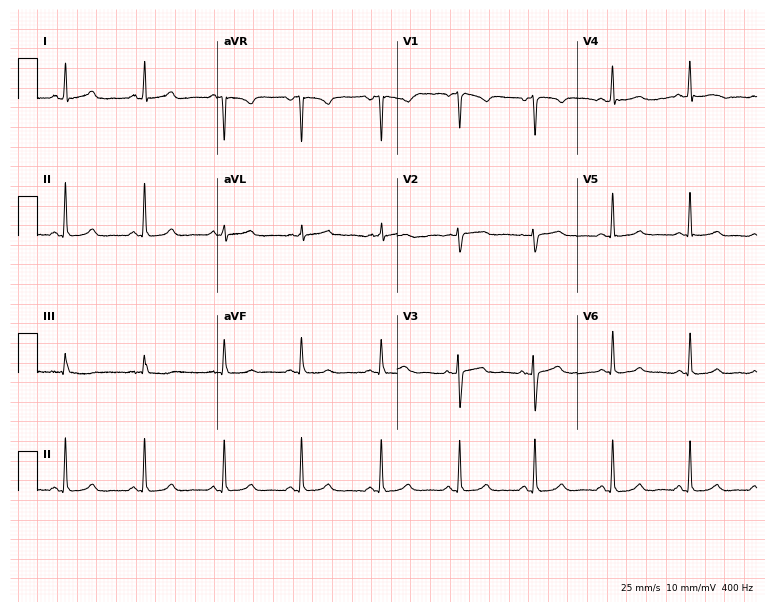
ECG — a female patient, 44 years old. Screened for six findings — first-degree AV block, right bundle branch block (RBBB), left bundle branch block (LBBB), sinus bradycardia, atrial fibrillation (AF), sinus tachycardia — none is recorded. Only these six findings were labelled.